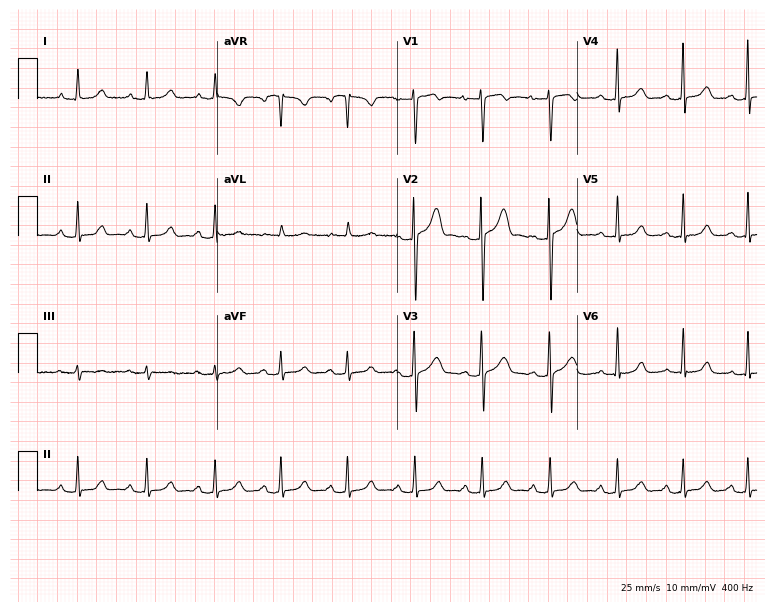
Standard 12-lead ECG recorded from a 33-year-old female. The tracing shows first-degree AV block.